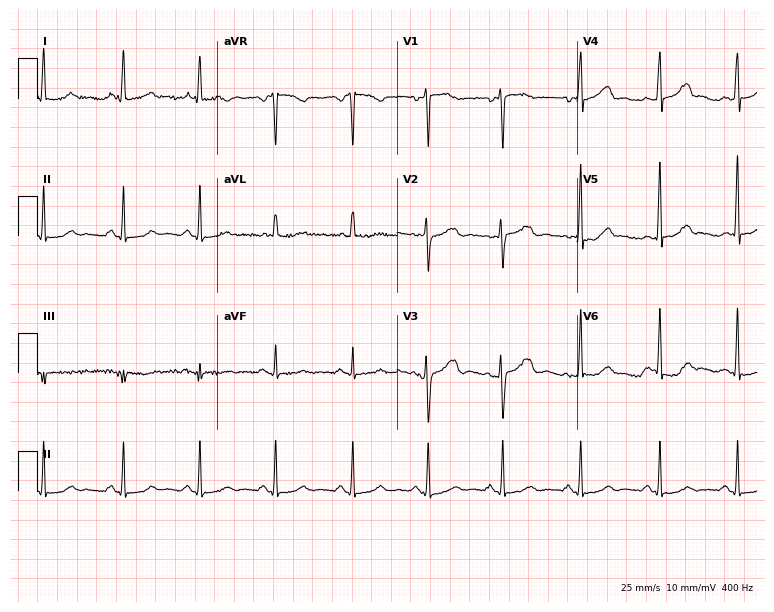
Electrocardiogram (7.3-second recording at 400 Hz), a 47-year-old woman. Overall reading on record: normal ECG.